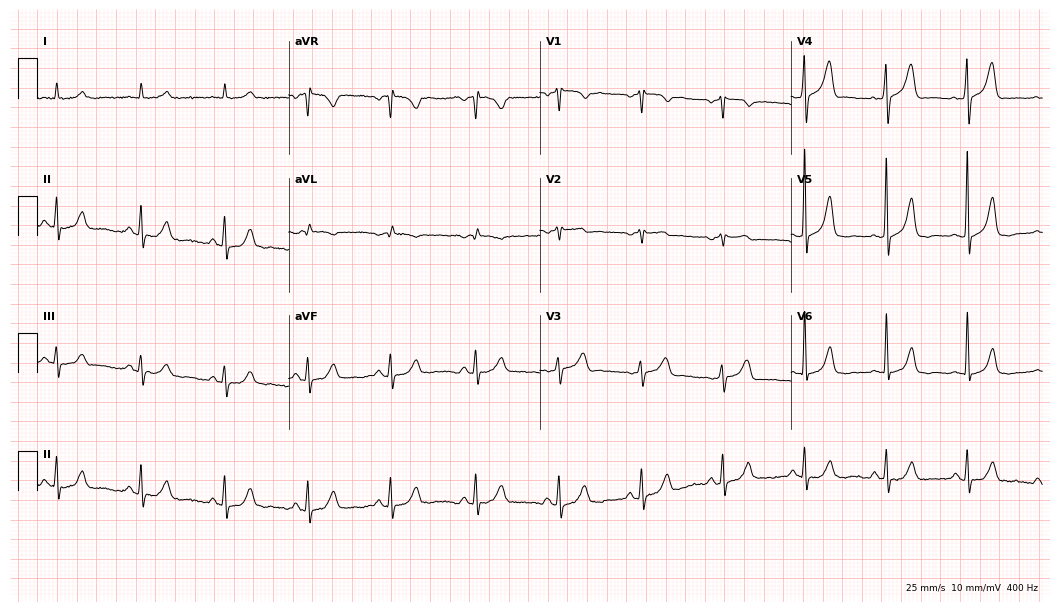
12-lead ECG (10.2-second recording at 400 Hz) from a male, 74 years old. Labelled as a normal ECG.